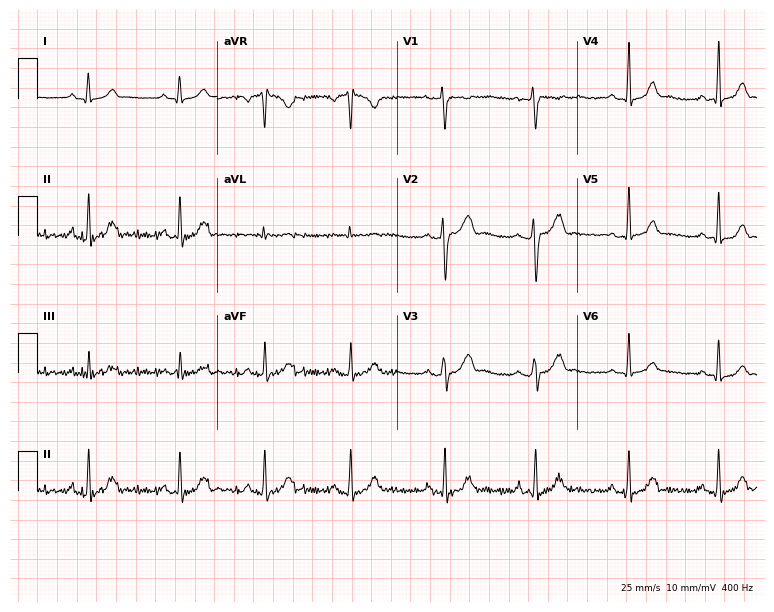
12-lead ECG from a 20-year-old female. No first-degree AV block, right bundle branch block, left bundle branch block, sinus bradycardia, atrial fibrillation or sinus tachycardia recorded for this tracing. Other findings, if any, are not listed.